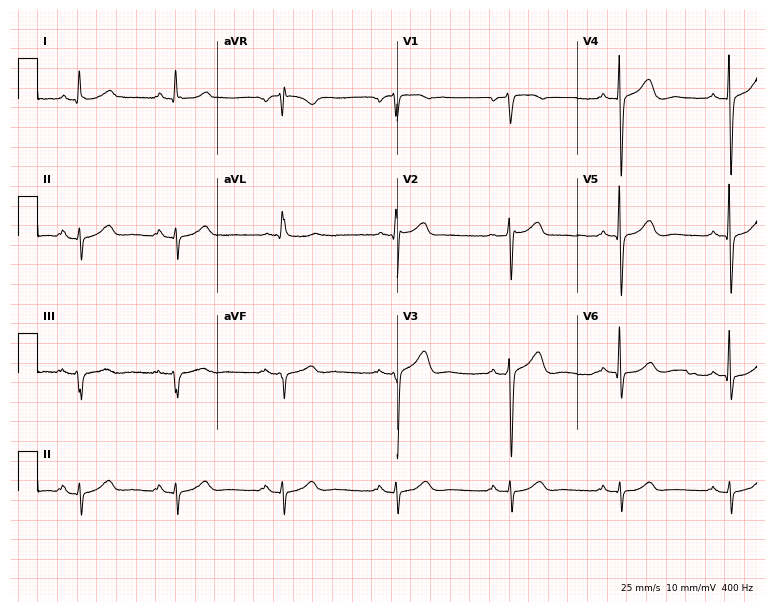
Electrocardiogram, a 66-year-old man. Of the six screened findings (first-degree AV block, right bundle branch block, left bundle branch block, sinus bradycardia, atrial fibrillation, sinus tachycardia), none is recorded.